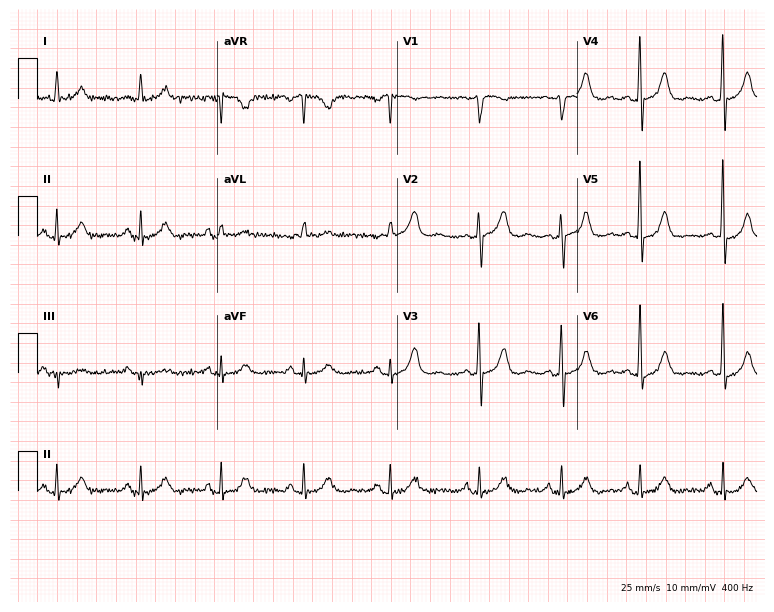
ECG — a 59-year-old female patient. Screened for six findings — first-degree AV block, right bundle branch block (RBBB), left bundle branch block (LBBB), sinus bradycardia, atrial fibrillation (AF), sinus tachycardia — none is recorded.